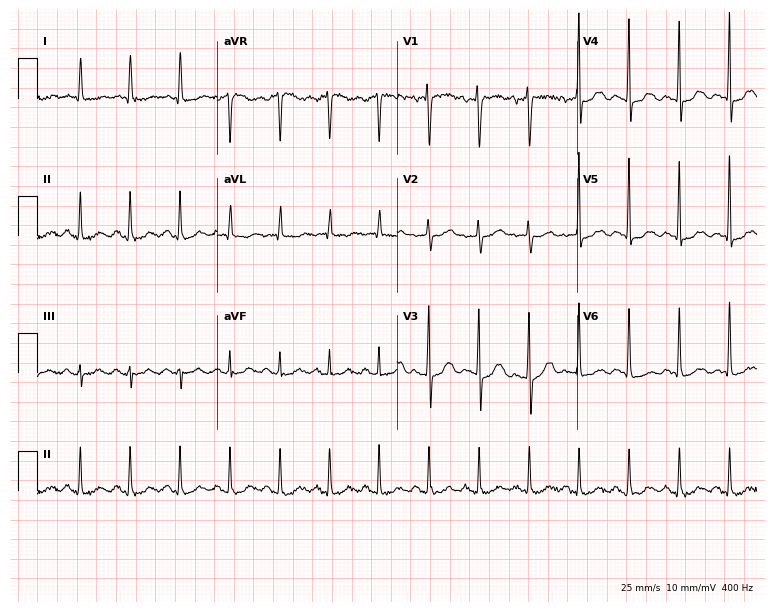
Electrocardiogram, a woman, 64 years old. Interpretation includes sinus tachycardia (a sinus rate of 100 beats per minute or more).